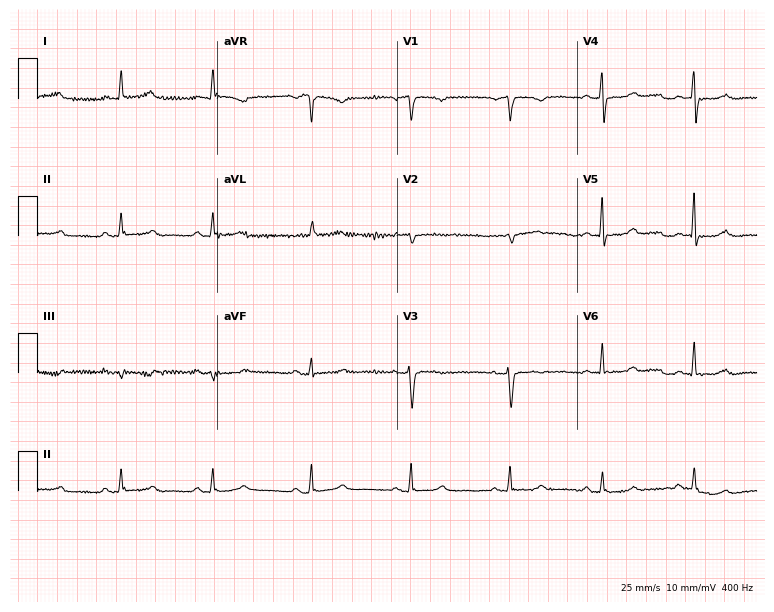
12-lead ECG from a female patient, 81 years old. Recorded interpretation: within normal limits.